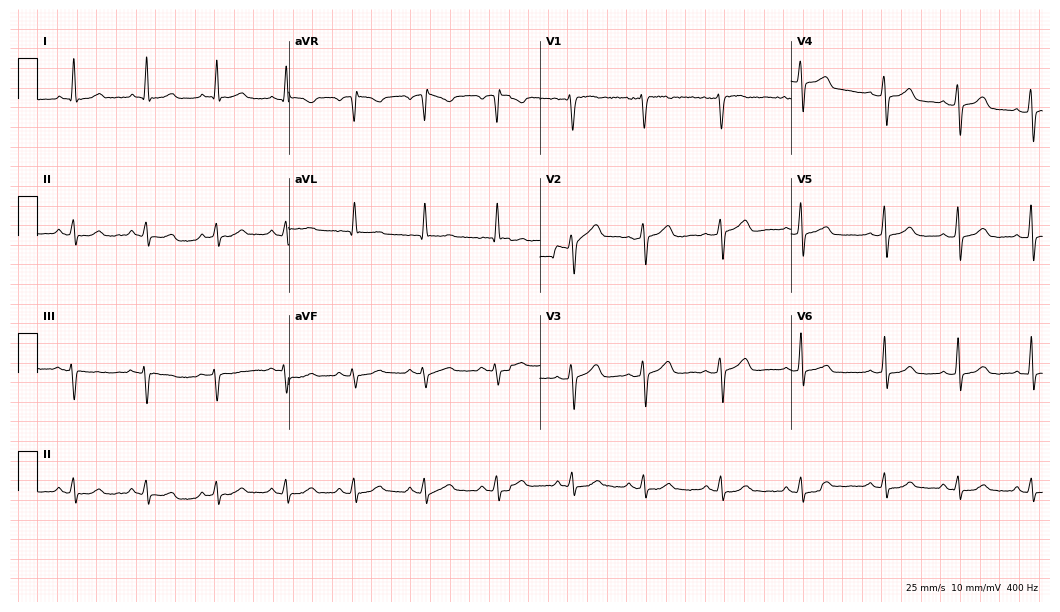
Standard 12-lead ECG recorded from a 51-year-old woman (10.2-second recording at 400 Hz). None of these six findings is recorded: first-degree AV block, right bundle branch block, left bundle branch block, sinus bradycardia, atrial fibrillation, sinus tachycardia. Other findings, if any, are not listed.